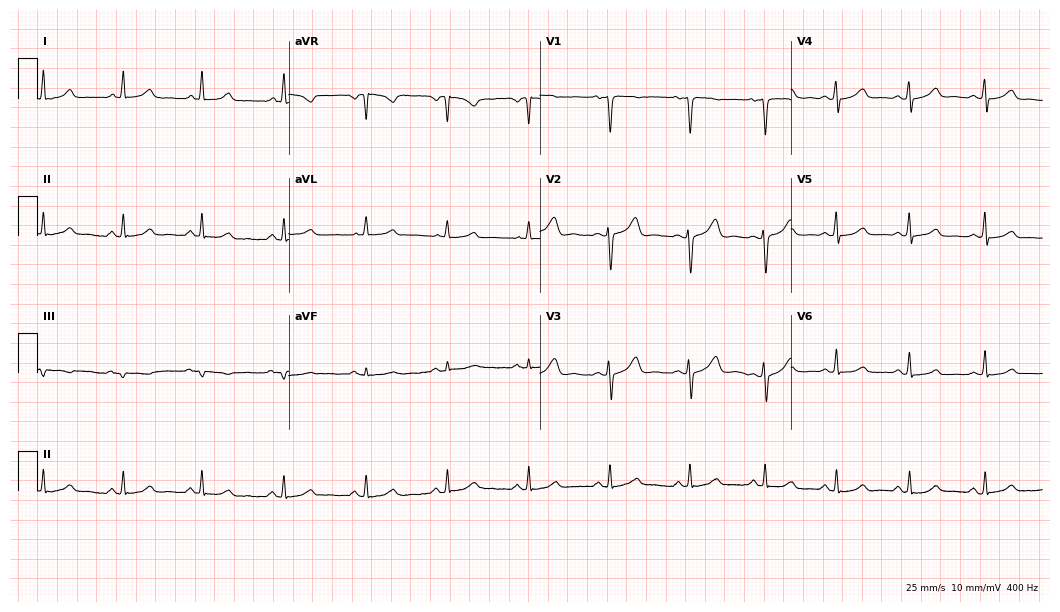
ECG — a female patient, 42 years old. Labelled as a normal ECG.